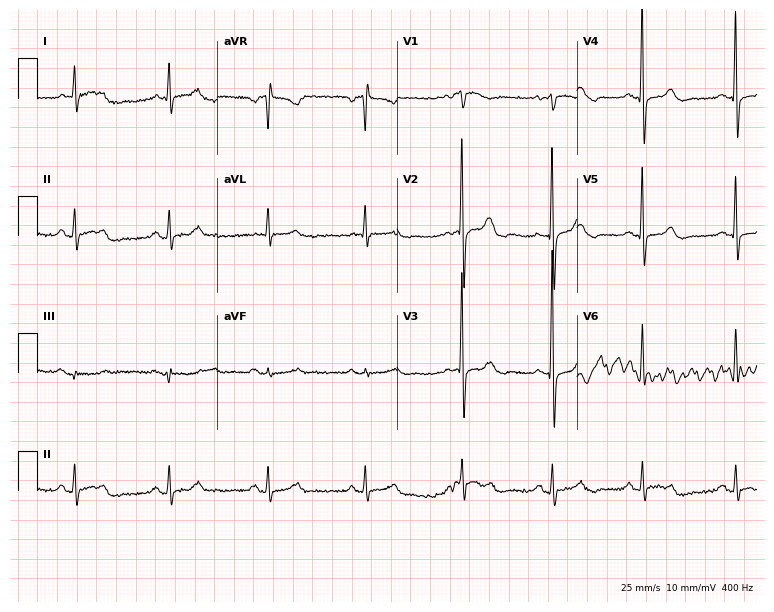
Electrocardiogram, a 68-year-old female. Overall reading on record: normal ECG.